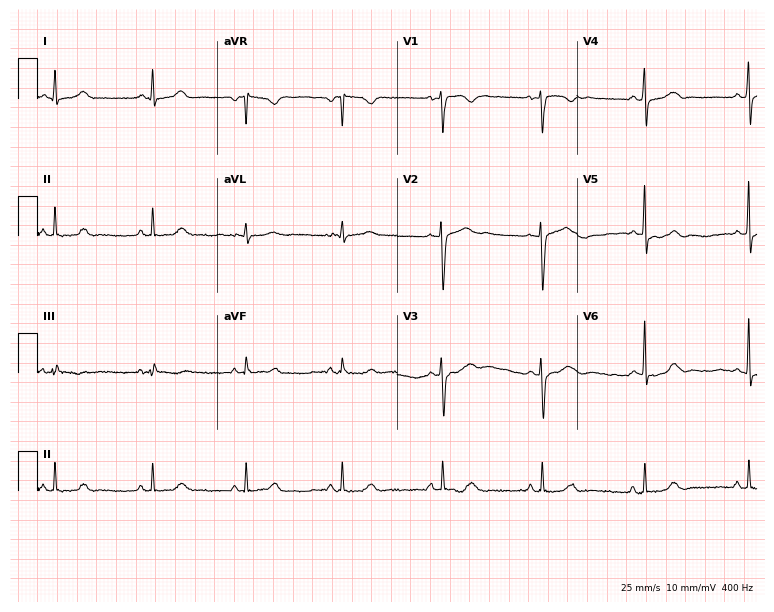
Electrocardiogram, a woman, 34 years old. Overall reading on record: normal ECG.